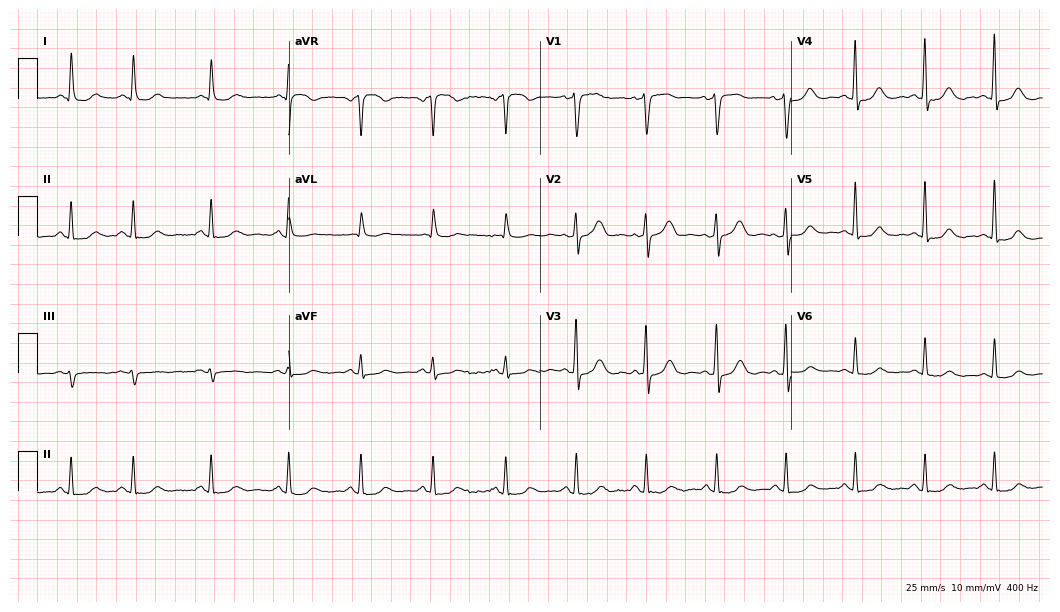
12-lead ECG from a male, 80 years old (10.2-second recording at 400 Hz). No first-degree AV block, right bundle branch block, left bundle branch block, sinus bradycardia, atrial fibrillation or sinus tachycardia recorded for this tracing.